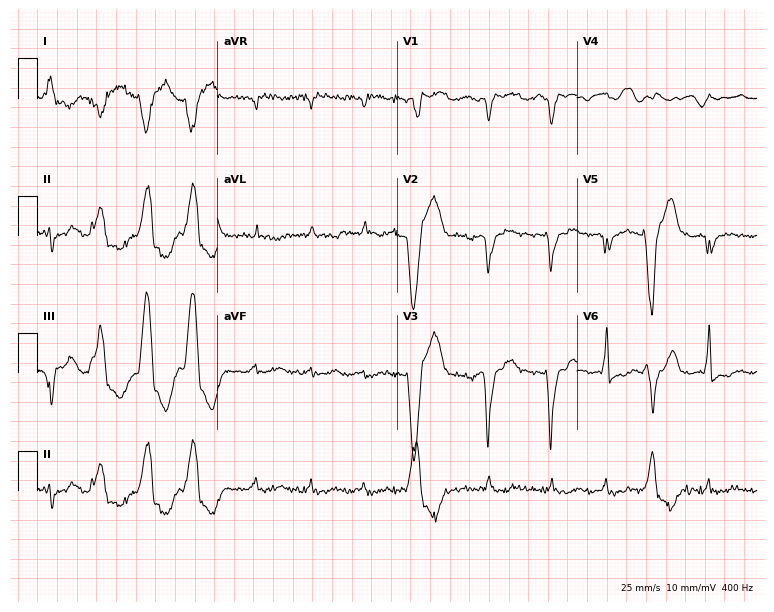
12-lead ECG from a female patient, 75 years old. No first-degree AV block, right bundle branch block, left bundle branch block, sinus bradycardia, atrial fibrillation or sinus tachycardia recorded for this tracing. Only these six findings were labelled.